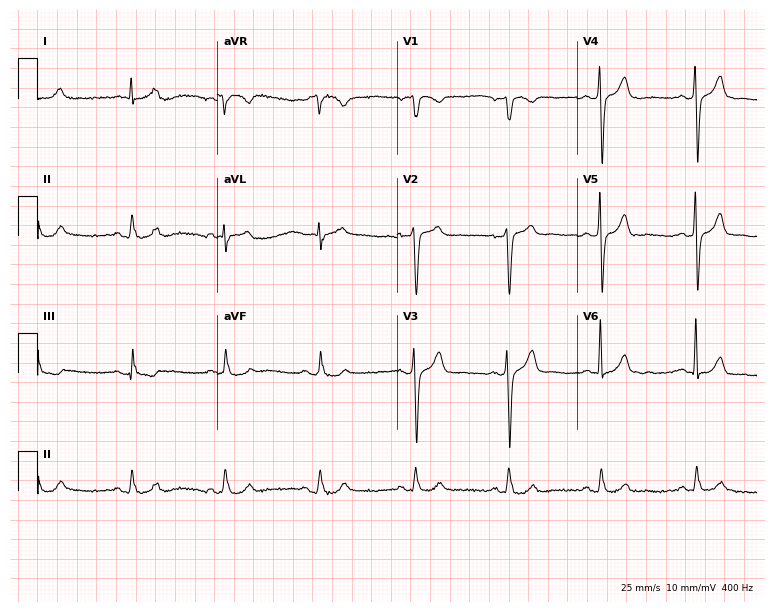
ECG — a 68-year-old male patient. Labelled as a normal ECG.